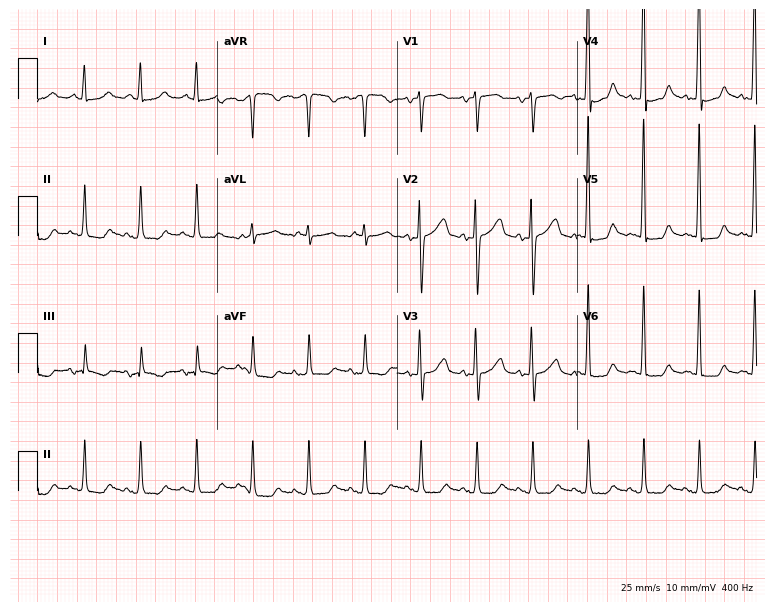
Standard 12-lead ECG recorded from a 65-year-old male (7.3-second recording at 400 Hz). The tracing shows sinus tachycardia (a sinus rate of 100 beats per minute or more).